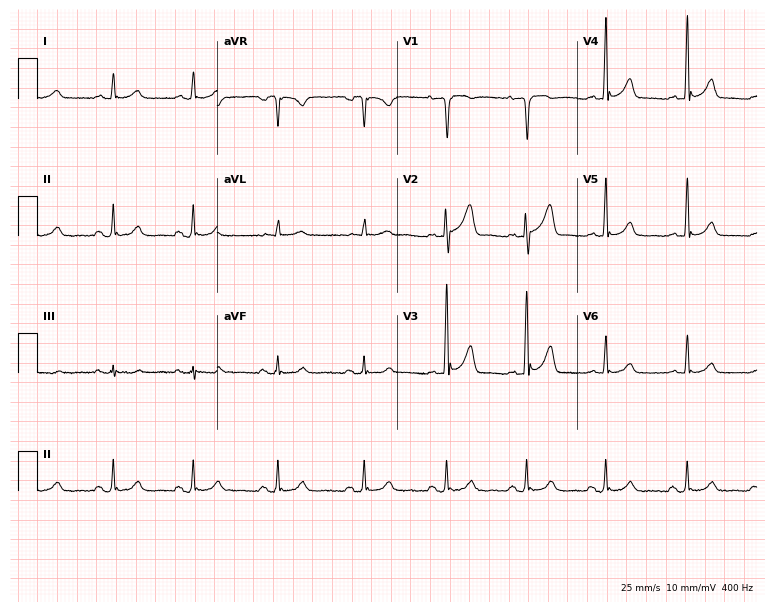
Resting 12-lead electrocardiogram. Patient: a 51-year-old male. Read as a normal ECG.